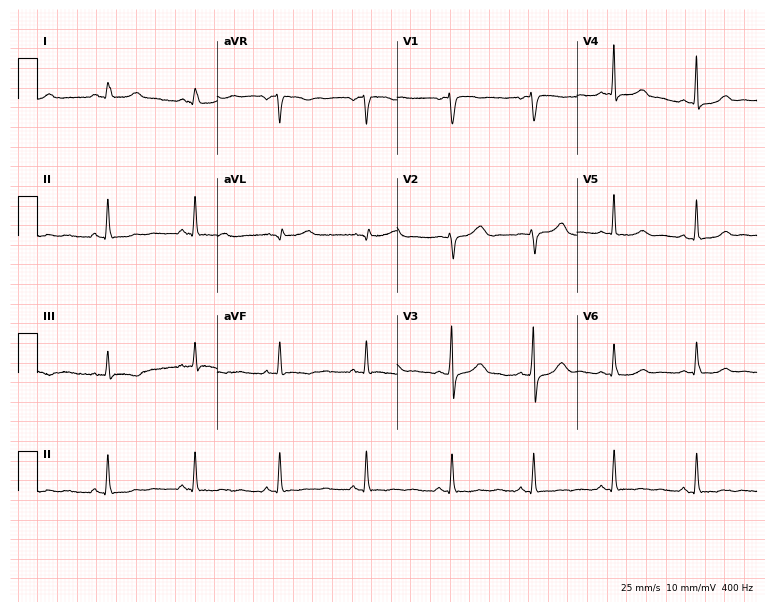
Standard 12-lead ECG recorded from a woman, 37 years old. None of these six findings is recorded: first-degree AV block, right bundle branch block, left bundle branch block, sinus bradycardia, atrial fibrillation, sinus tachycardia. Other findings, if any, are not listed.